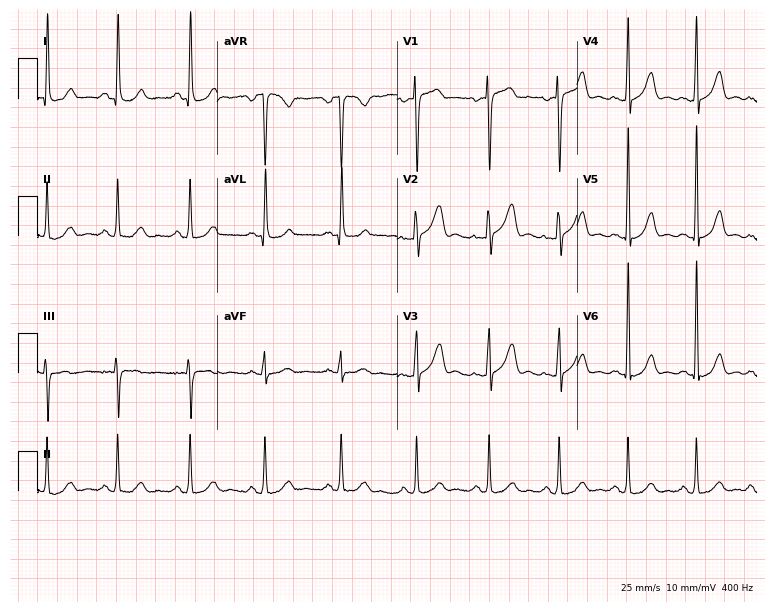
Resting 12-lead electrocardiogram. Patient: a 43-year-old woman. None of these six findings is recorded: first-degree AV block, right bundle branch block, left bundle branch block, sinus bradycardia, atrial fibrillation, sinus tachycardia. Other findings, if any, are not listed.